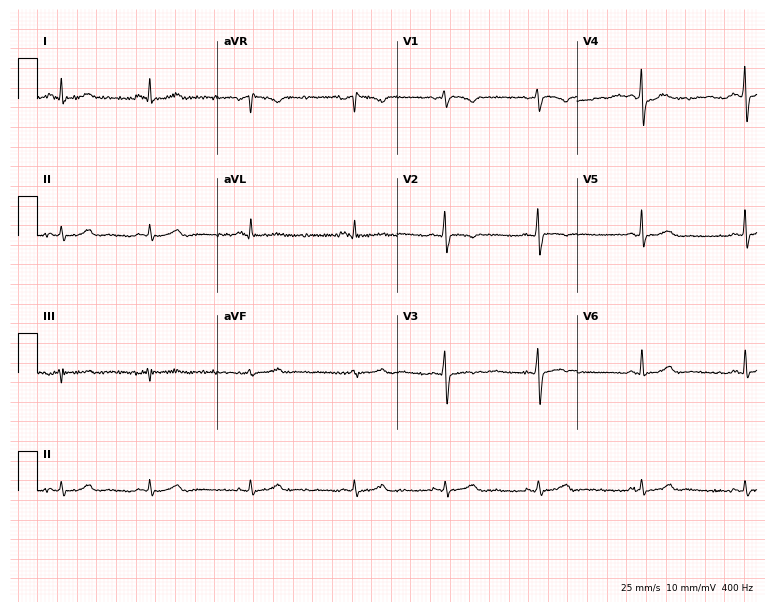
ECG — a woman, 20 years old. Screened for six findings — first-degree AV block, right bundle branch block, left bundle branch block, sinus bradycardia, atrial fibrillation, sinus tachycardia — none is recorded.